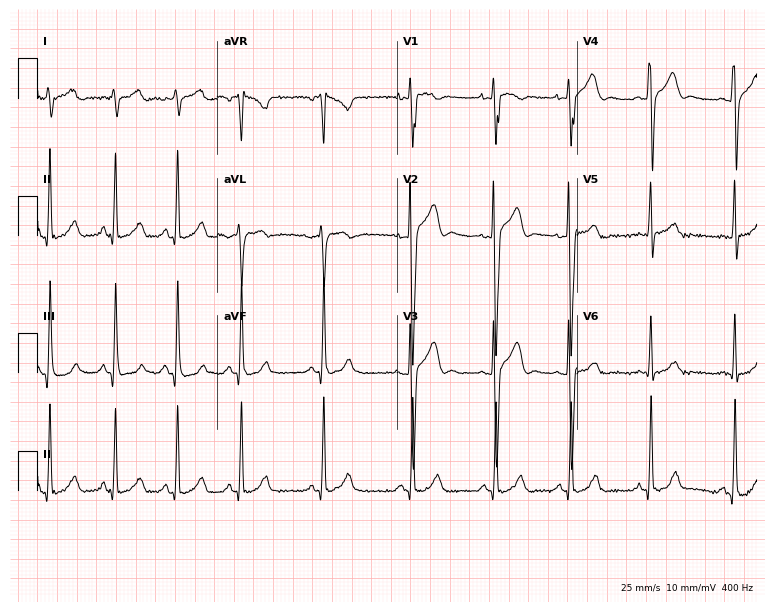
Standard 12-lead ECG recorded from a male, 19 years old. None of these six findings is recorded: first-degree AV block, right bundle branch block (RBBB), left bundle branch block (LBBB), sinus bradycardia, atrial fibrillation (AF), sinus tachycardia. Findings outside these six are not listed.